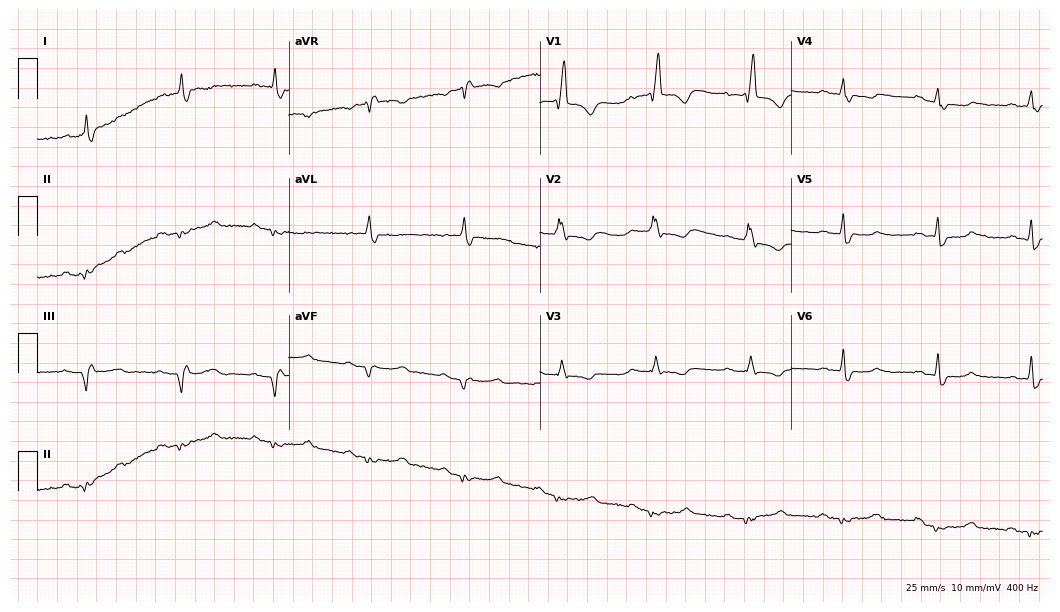
Standard 12-lead ECG recorded from a 77-year-old man (10.2-second recording at 400 Hz). The tracing shows right bundle branch block.